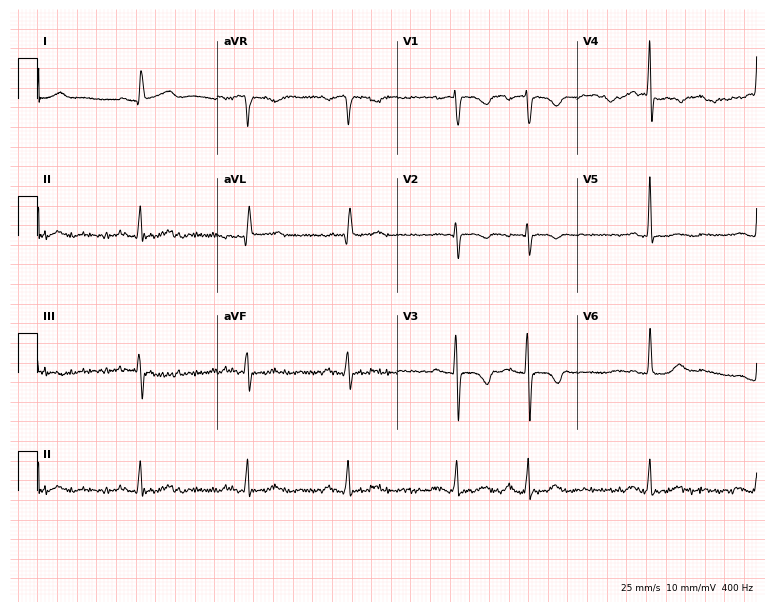
Standard 12-lead ECG recorded from a female, 78 years old (7.3-second recording at 400 Hz). None of these six findings is recorded: first-degree AV block, right bundle branch block, left bundle branch block, sinus bradycardia, atrial fibrillation, sinus tachycardia. Other findings, if any, are not listed.